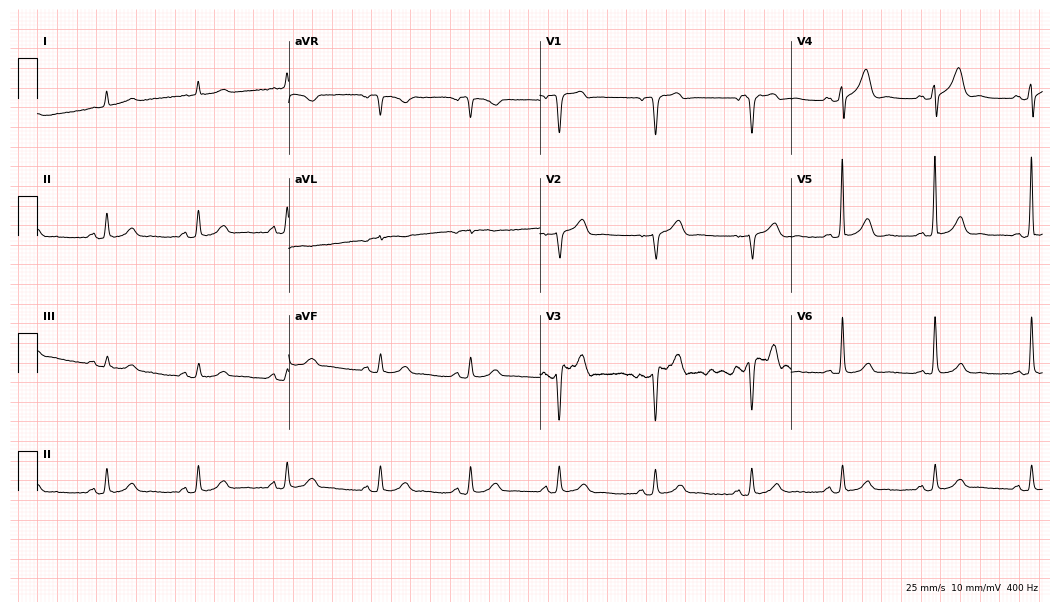
Resting 12-lead electrocardiogram. Patient: a female, 84 years old. Read as a normal ECG.